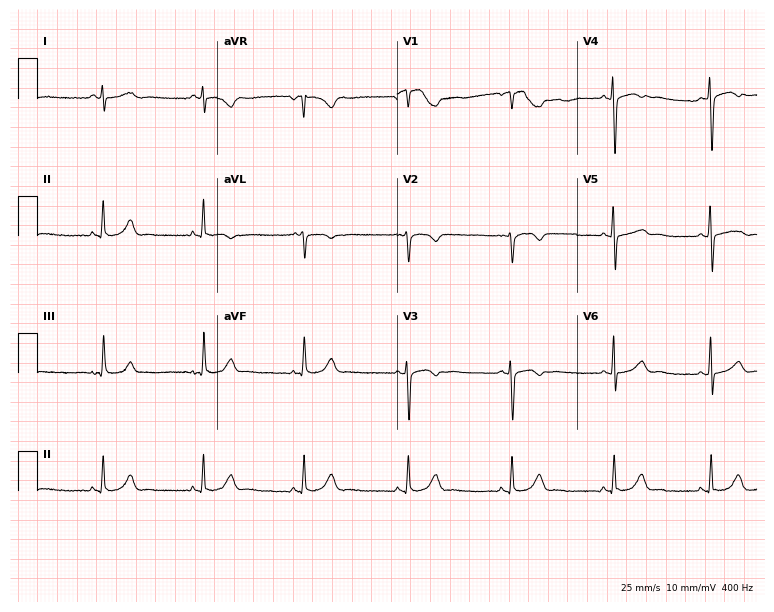
Resting 12-lead electrocardiogram (7.3-second recording at 400 Hz). Patient: a woman, 35 years old. None of these six findings is recorded: first-degree AV block, right bundle branch block, left bundle branch block, sinus bradycardia, atrial fibrillation, sinus tachycardia.